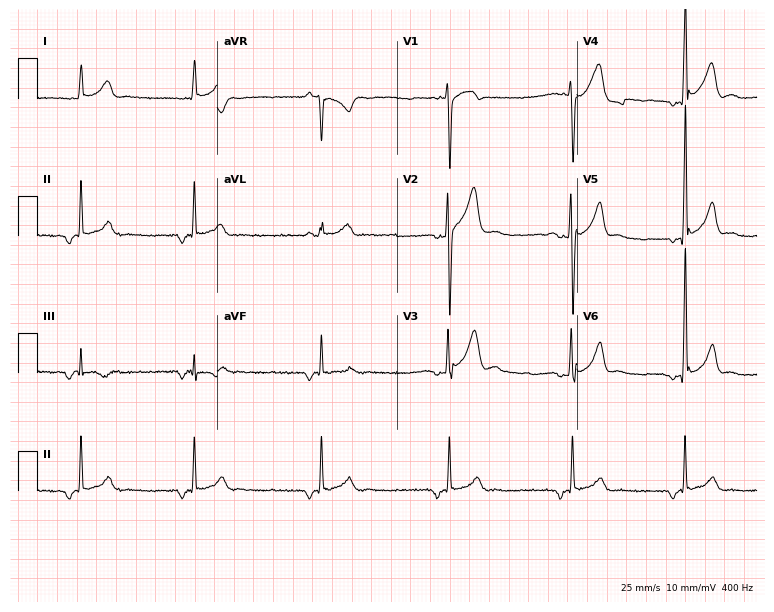
Resting 12-lead electrocardiogram (7.3-second recording at 400 Hz). Patient: a male, 32 years old. The tracing shows sinus bradycardia (a sinus rate of 50 beats per minute or less).